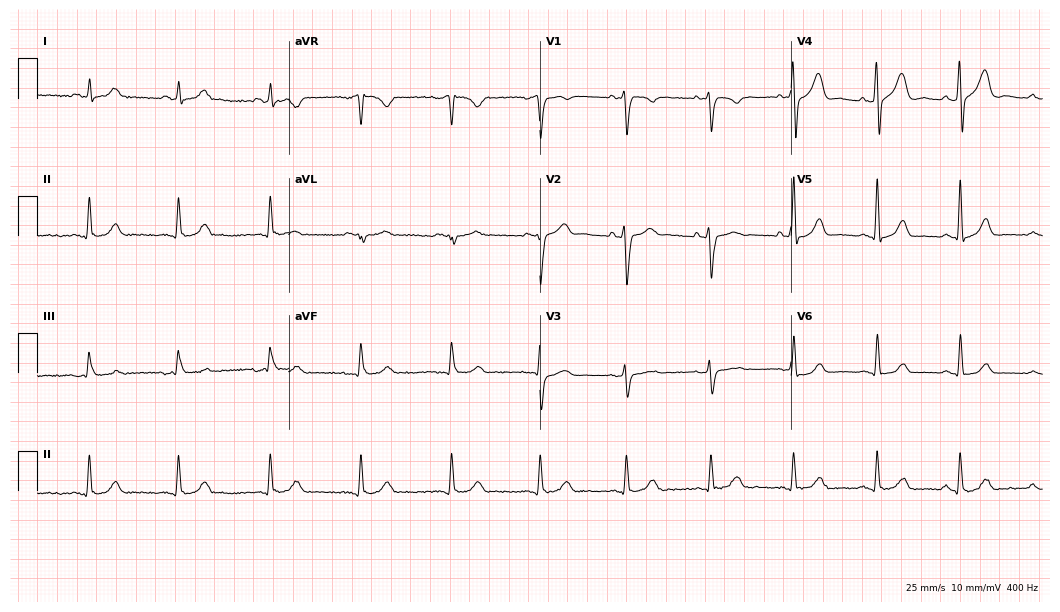
12-lead ECG from a 34-year-old man. Screened for six findings — first-degree AV block, right bundle branch block (RBBB), left bundle branch block (LBBB), sinus bradycardia, atrial fibrillation (AF), sinus tachycardia — none is recorded. Other findings, if any, are not listed.